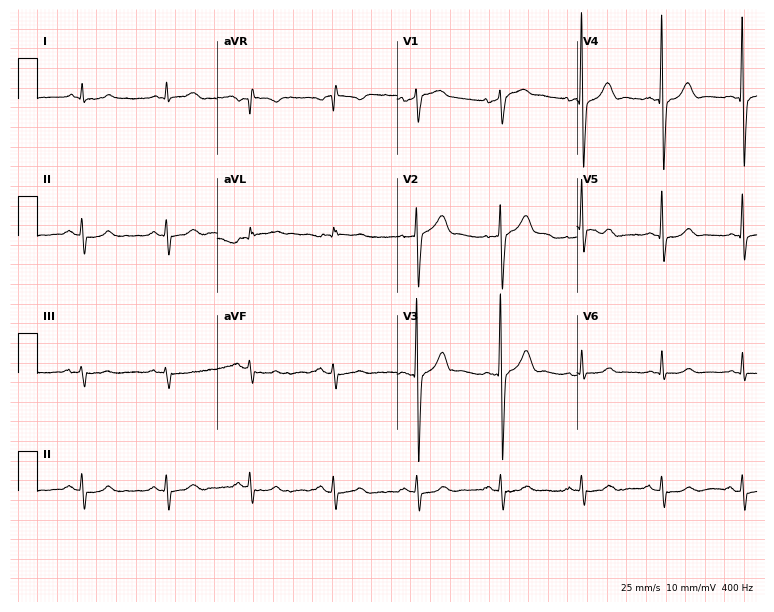
Standard 12-lead ECG recorded from a 63-year-old male. None of these six findings is recorded: first-degree AV block, right bundle branch block, left bundle branch block, sinus bradycardia, atrial fibrillation, sinus tachycardia. Other findings, if any, are not listed.